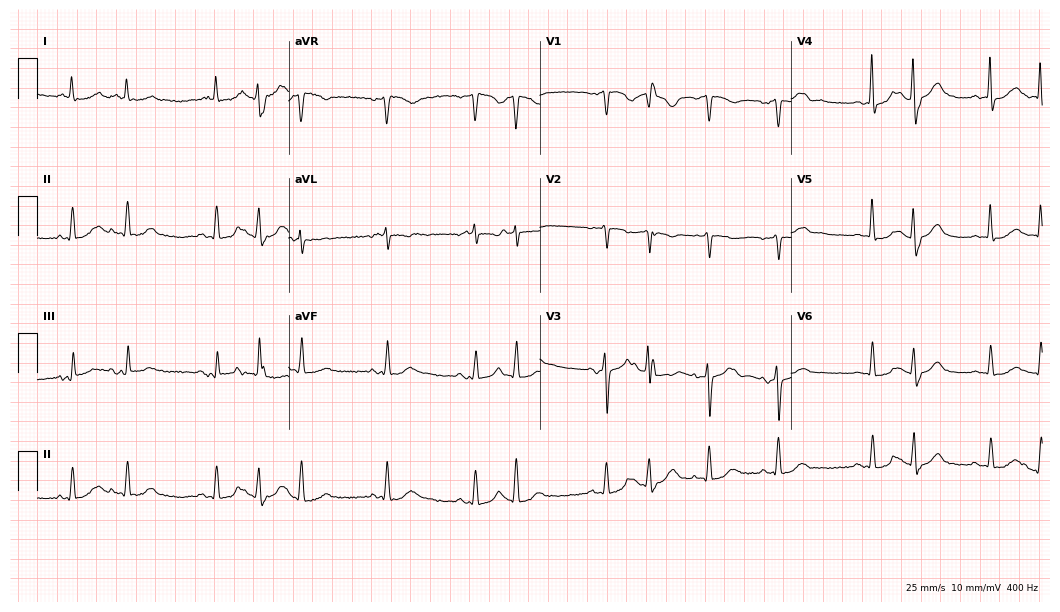
Electrocardiogram (10.2-second recording at 400 Hz), a woman, 67 years old. Of the six screened findings (first-degree AV block, right bundle branch block, left bundle branch block, sinus bradycardia, atrial fibrillation, sinus tachycardia), none is recorded.